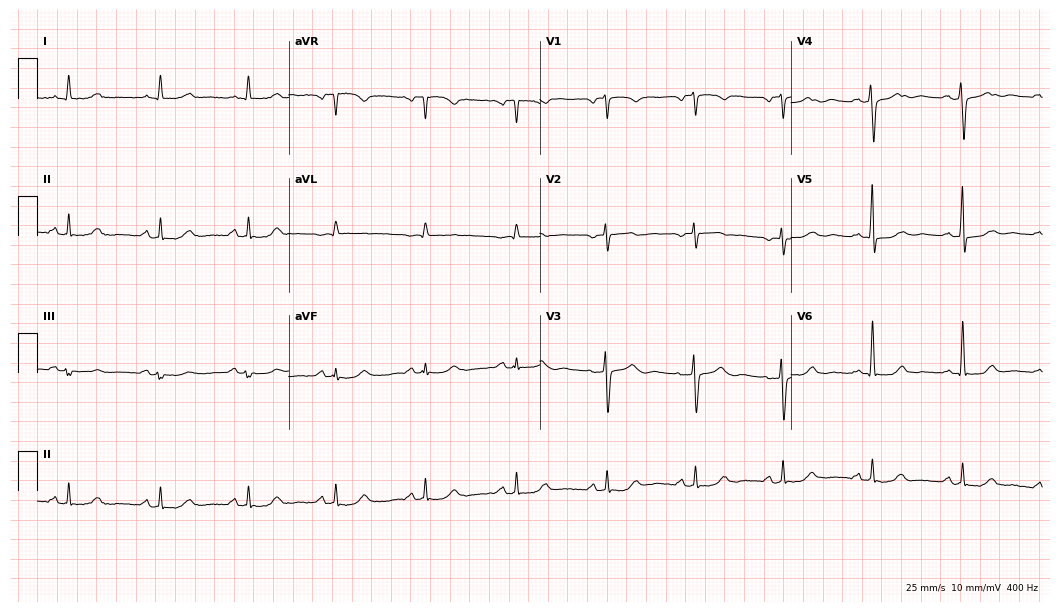
ECG — a female, 55 years old. Screened for six findings — first-degree AV block, right bundle branch block (RBBB), left bundle branch block (LBBB), sinus bradycardia, atrial fibrillation (AF), sinus tachycardia — none is recorded. Only these six findings were labelled.